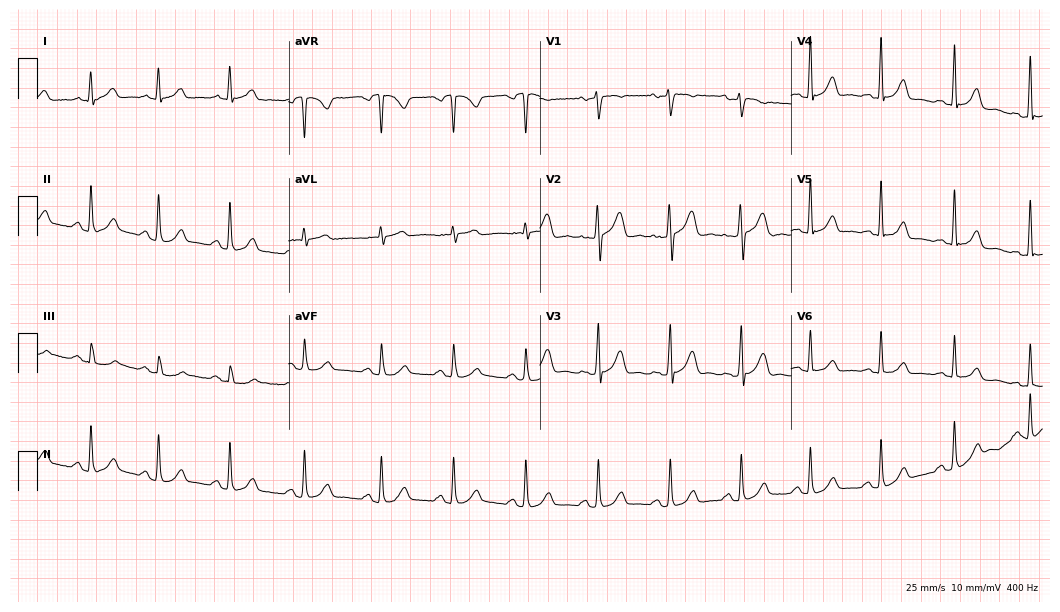
Standard 12-lead ECG recorded from a female patient, 31 years old. Read as a normal ECG.